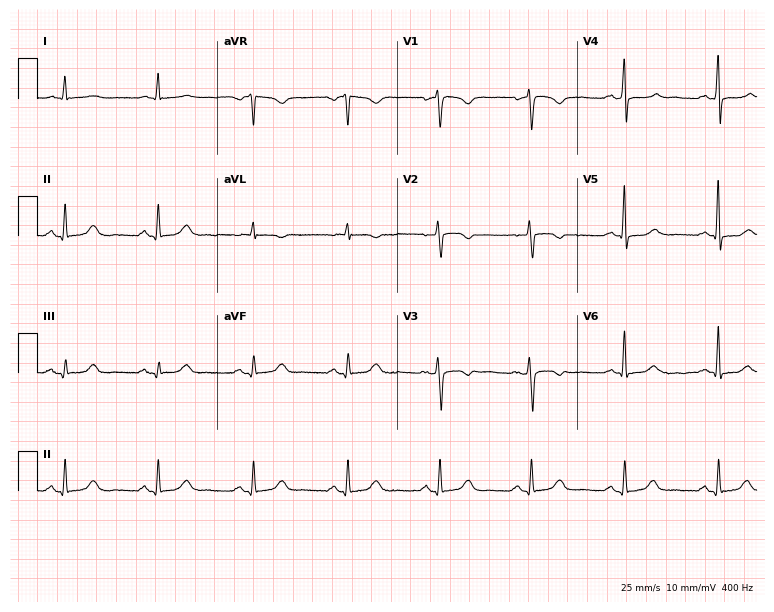
Electrocardiogram, a woman, 57 years old. Of the six screened findings (first-degree AV block, right bundle branch block, left bundle branch block, sinus bradycardia, atrial fibrillation, sinus tachycardia), none is recorded. Only these six findings were labelled.